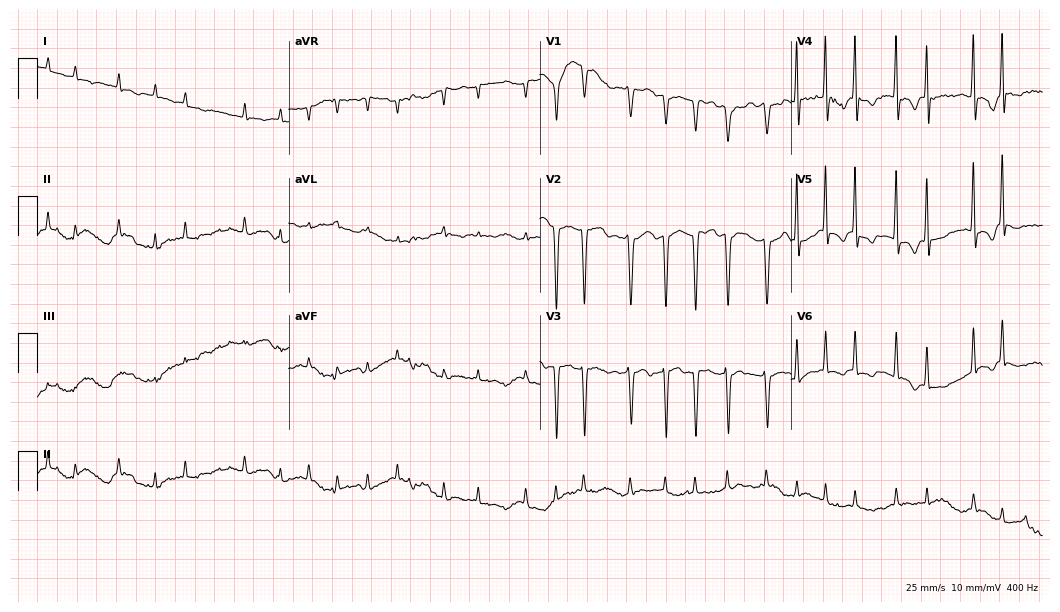
12-lead ECG (10.2-second recording at 400 Hz) from an 81-year-old female patient. Findings include atrial fibrillation.